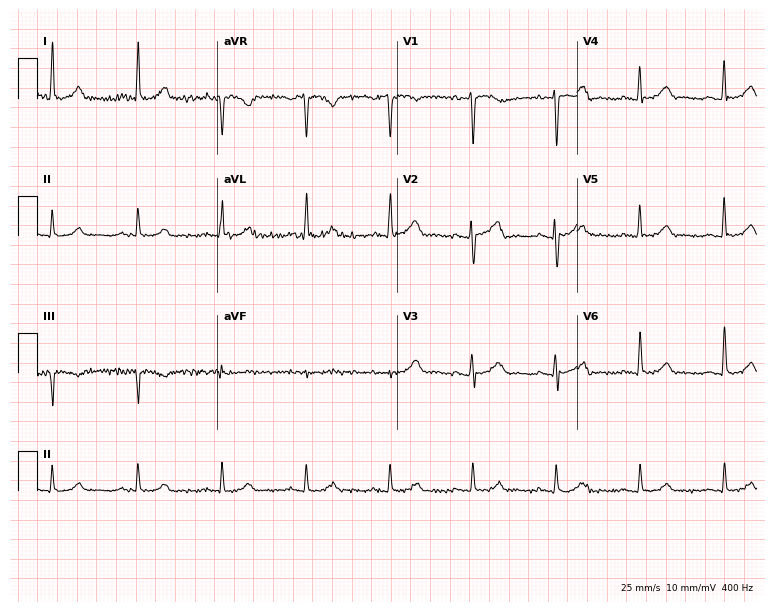
Standard 12-lead ECG recorded from a woman, 67 years old (7.3-second recording at 400 Hz). Read as a normal ECG.